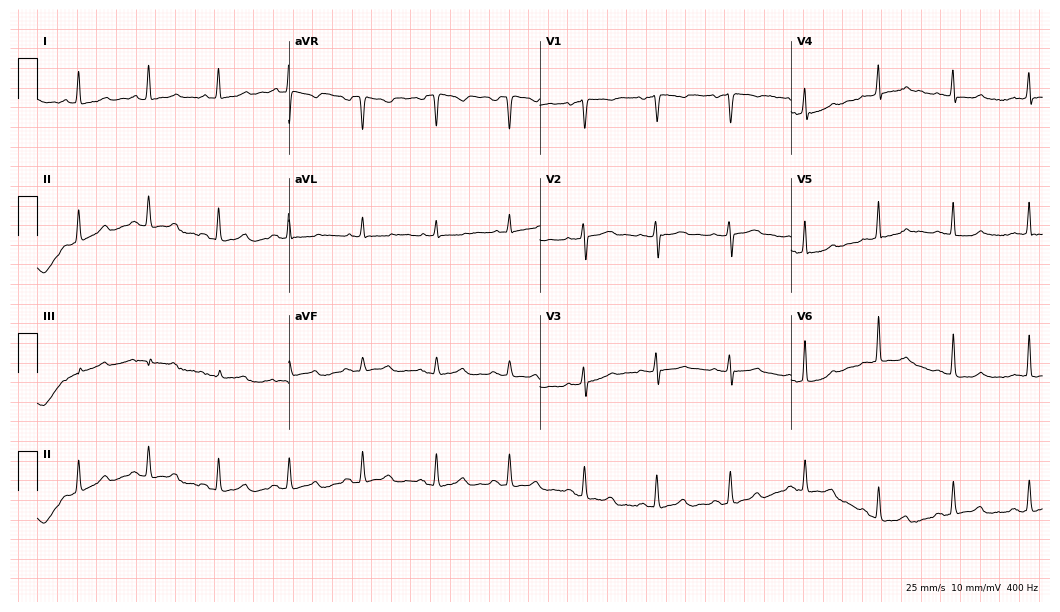
Resting 12-lead electrocardiogram. Patient: a 45-year-old woman. None of these six findings is recorded: first-degree AV block, right bundle branch block, left bundle branch block, sinus bradycardia, atrial fibrillation, sinus tachycardia. Only these six findings were labelled.